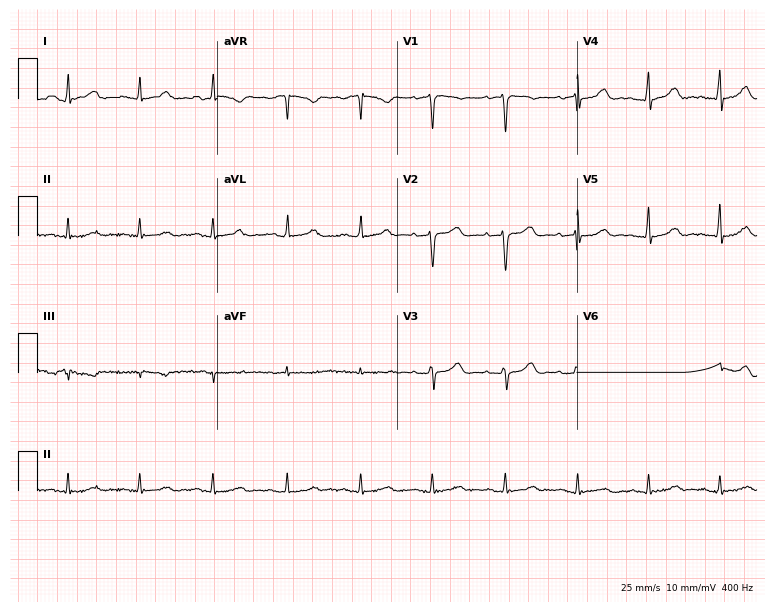
Standard 12-lead ECG recorded from a woman, 46 years old (7.3-second recording at 400 Hz). Read as a normal ECG.